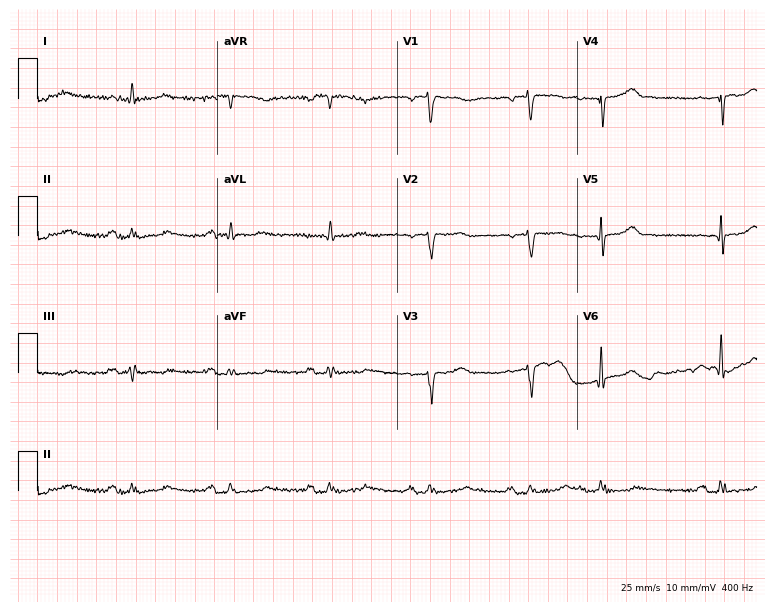
12-lead ECG from a 66-year-old female. No first-degree AV block, right bundle branch block, left bundle branch block, sinus bradycardia, atrial fibrillation or sinus tachycardia recorded for this tracing. Only these six findings were labelled.